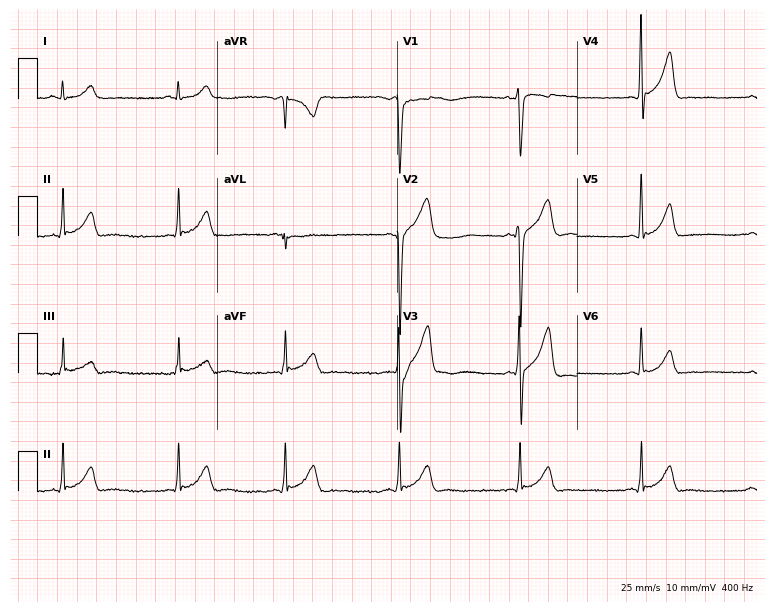
Standard 12-lead ECG recorded from a male, 18 years old (7.3-second recording at 400 Hz). None of these six findings is recorded: first-degree AV block, right bundle branch block (RBBB), left bundle branch block (LBBB), sinus bradycardia, atrial fibrillation (AF), sinus tachycardia. Findings outside these six are not listed.